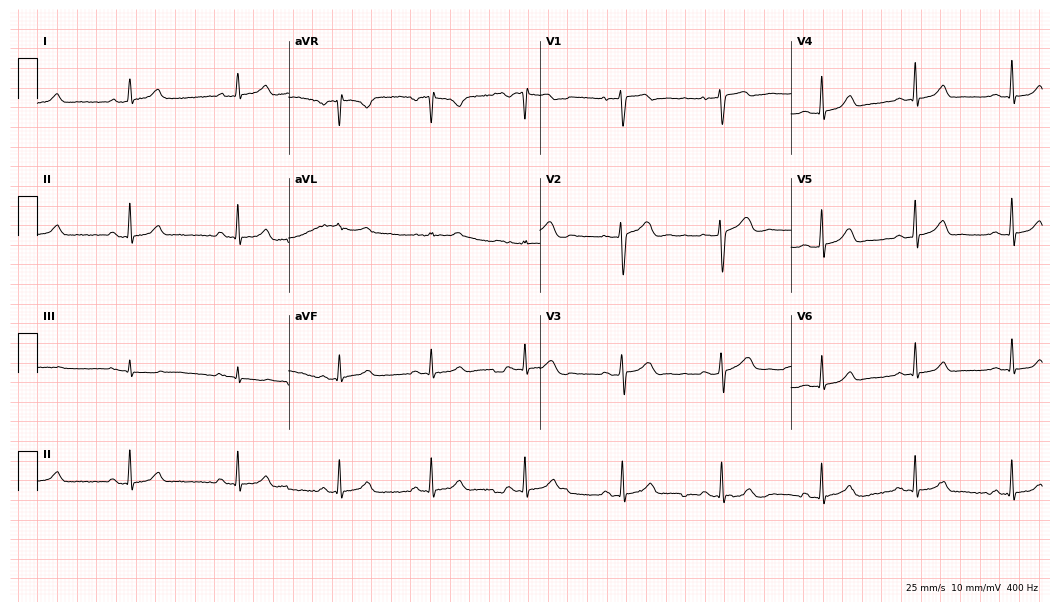
Resting 12-lead electrocardiogram (10.2-second recording at 400 Hz). Patient: a female, 25 years old. Read as a normal ECG.